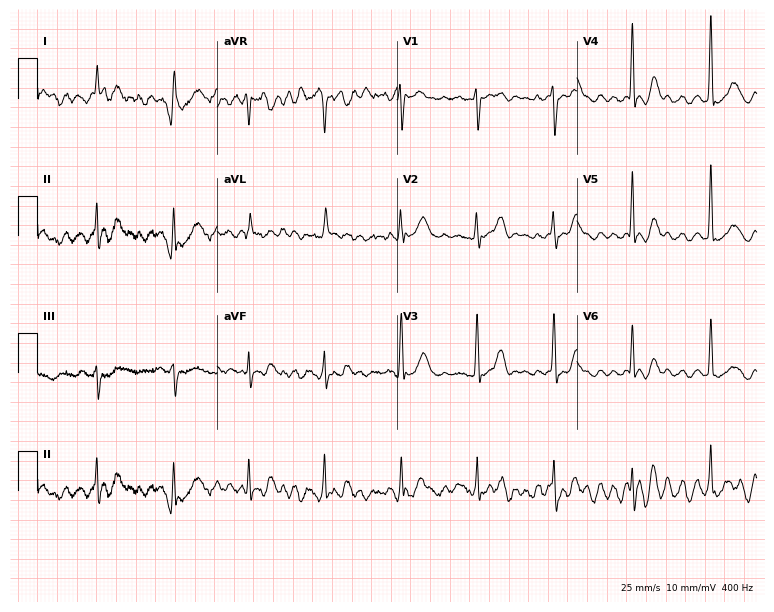
12-lead ECG (7.3-second recording at 400 Hz) from an 82-year-old female. Screened for six findings — first-degree AV block, right bundle branch block, left bundle branch block, sinus bradycardia, atrial fibrillation, sinus tachycardia — none is recorded. Other findings, if any, are not listed.